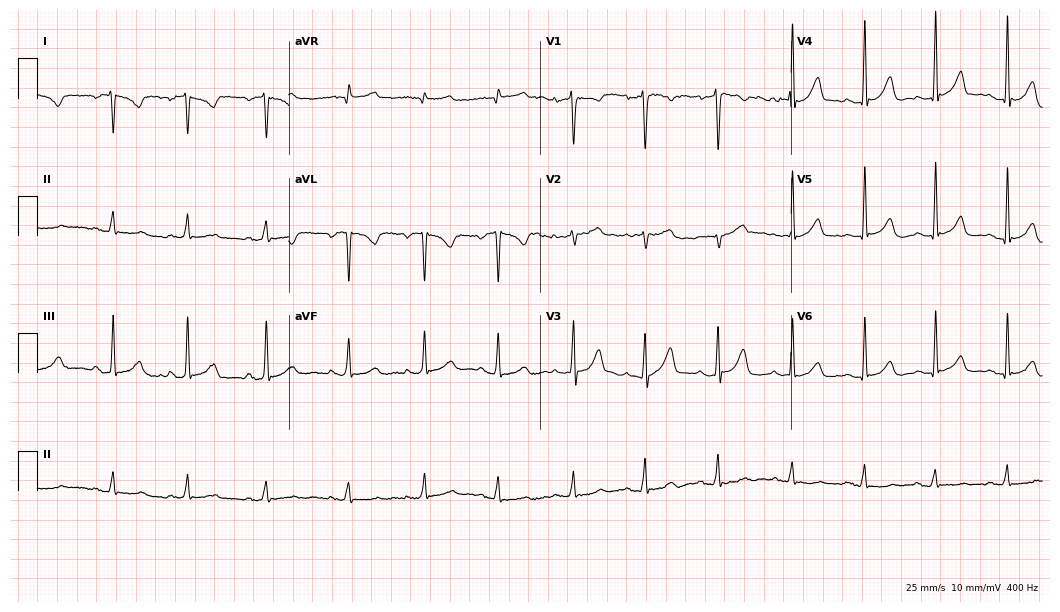
12-lead ECG from a female patient, 35 years old. No first-degree AV block, right bundle branch block (RBBB), left bundle branch block (LBBB), sinus bradycardia, atrial fibrillation (AF) or sinus tachycardia recorded for this tracing. Findings outside these six are not listed.